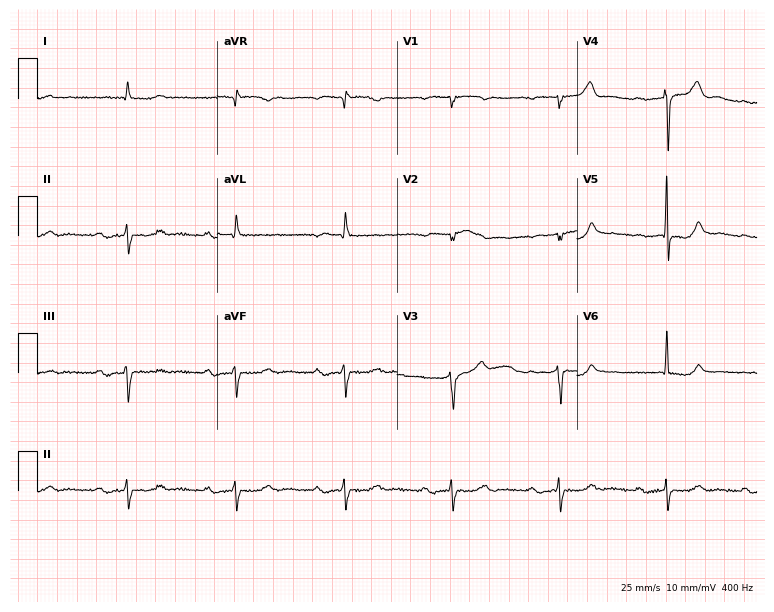
Resting 12-lead electrocardiogram. Patient: a 77-year-old male. The tracing shows first-degree AV block.